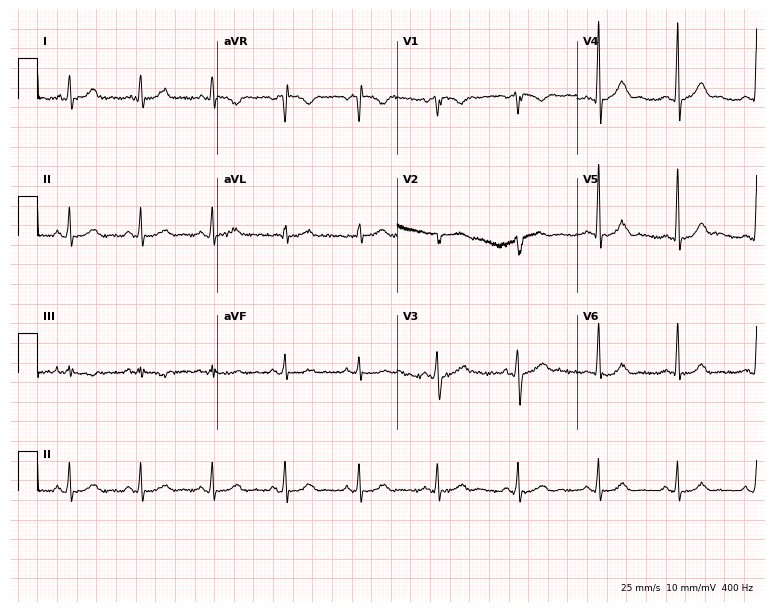
ECG (7.3-second recording at 400 Hz) — a male patient, 35 years old. Labelled as a normal ECG.